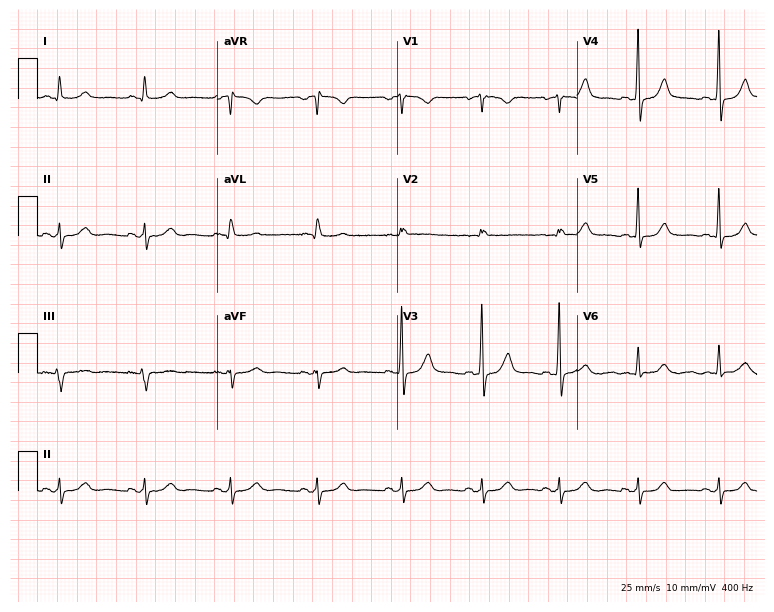
ECG — a woman, 30 years old. Labelled as a normal ECG.